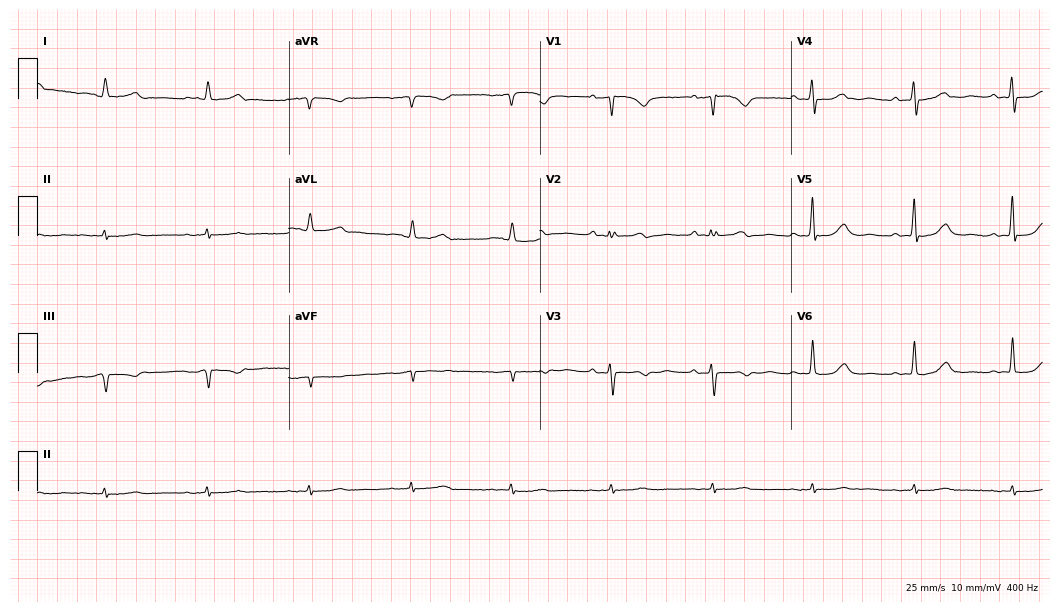
ECG (10.2-second recording at 400 Hz) — a 76-year-old female. Labelled as a normal ECG.